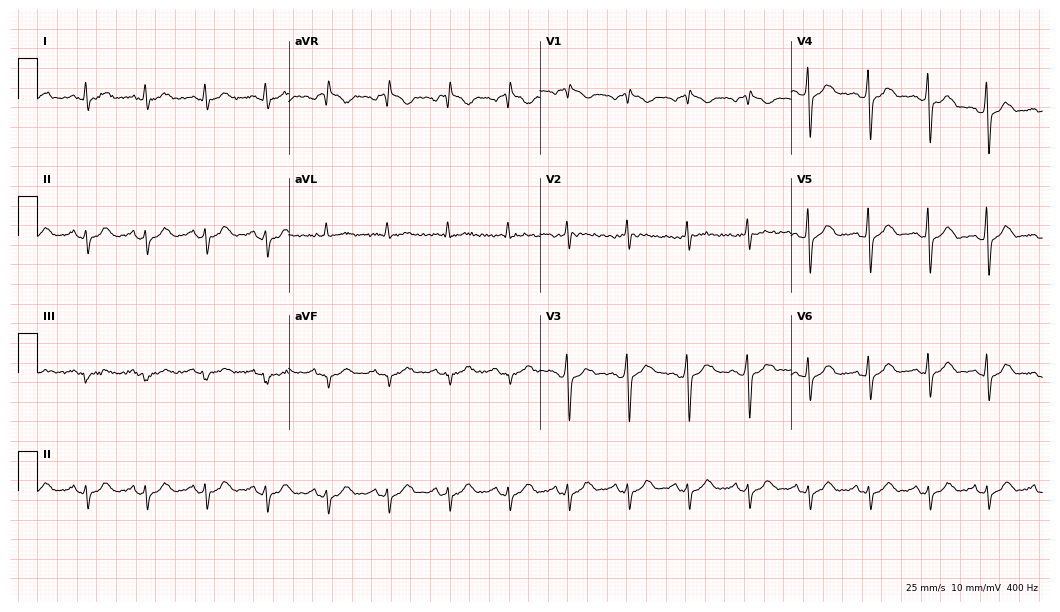
Standard 12-lead ECG recorded from a male, 63 years old. None of these six findings is recorded: first-degree AV block, right bundle branch block, left bundle branch block, sinus bradycardia, atrial fibrillation, sinus tachycardia. Only these six findings were labelled.